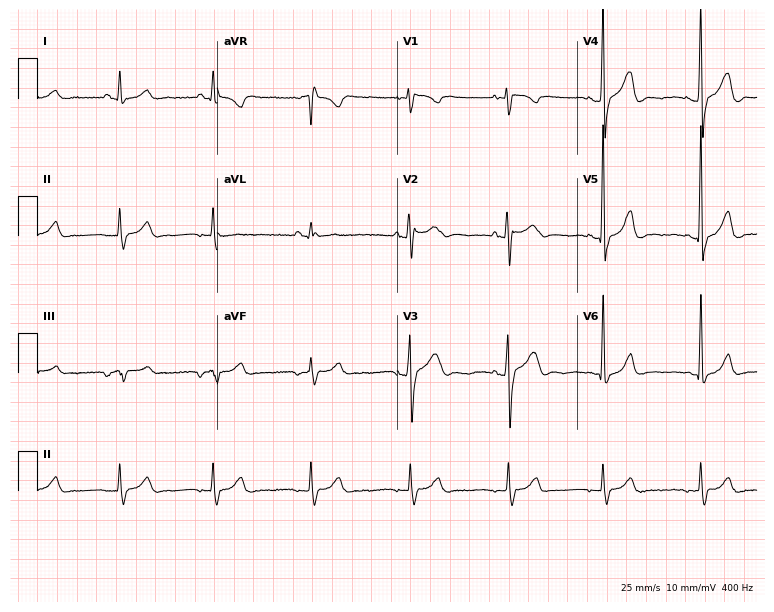
12-lead ECG (7.3-second recording at 400 Hz) from a male patient, 31 years old. Labelled as a normal ECG.